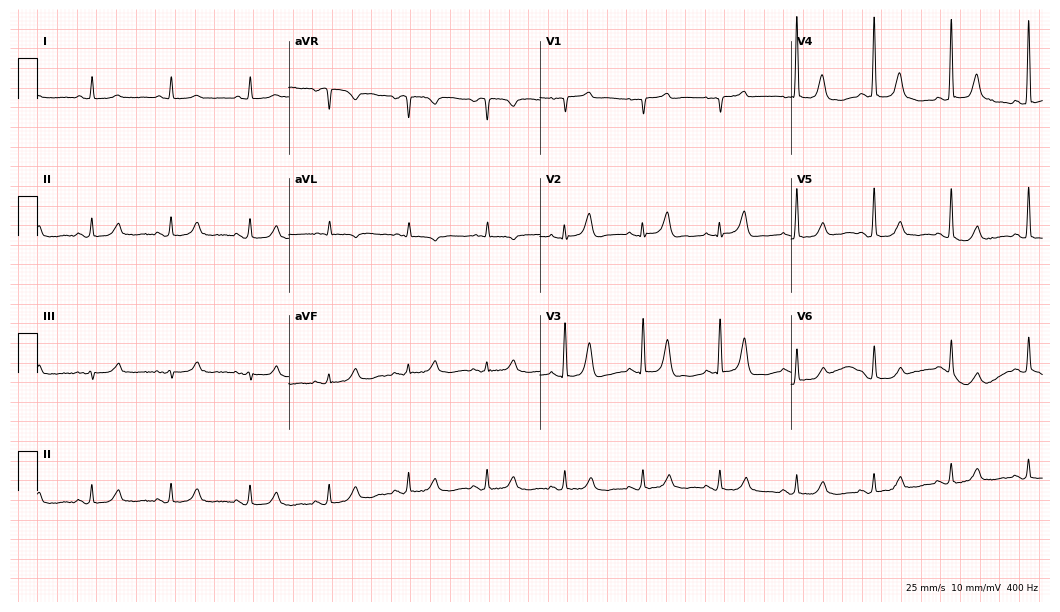
Standard 12-lead ECG recorded from a female, 85 years old (10.2-second recording at 400 Hz). None of these six findings is recorded: first-degree AV block, right bundle branch block, left bundle branch block, sinus bradycardia, atrial fibrillation, sinus tachycardia.